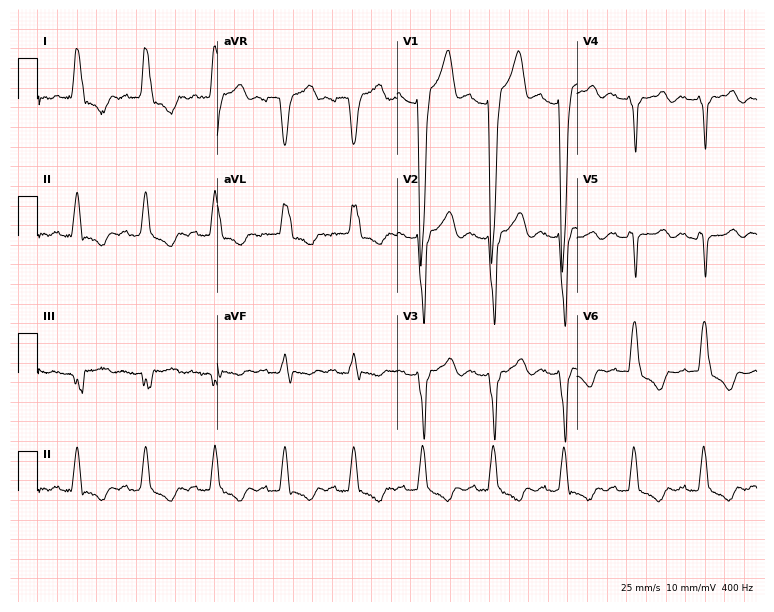
Resting 12-lead electrocardiogram (7.3-second recording at 400 Hz). Patient: a male, 71 years old. The tracing shows first-degree AV block, left bundle branch block.